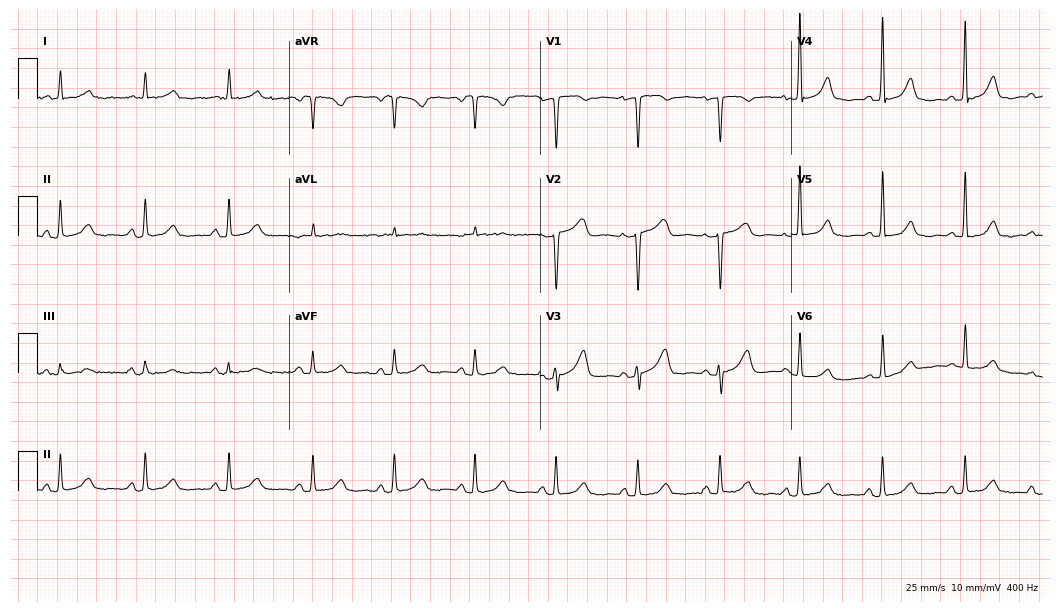
12-lead ECG from a woman, 71 years old. No first-degree AV block, right bundle branch block, left bundle branch block, sinus bradycardia, atrial fibrillation or sinus tachycardia recorded for this tracing. Other findings, if any, are not listed.